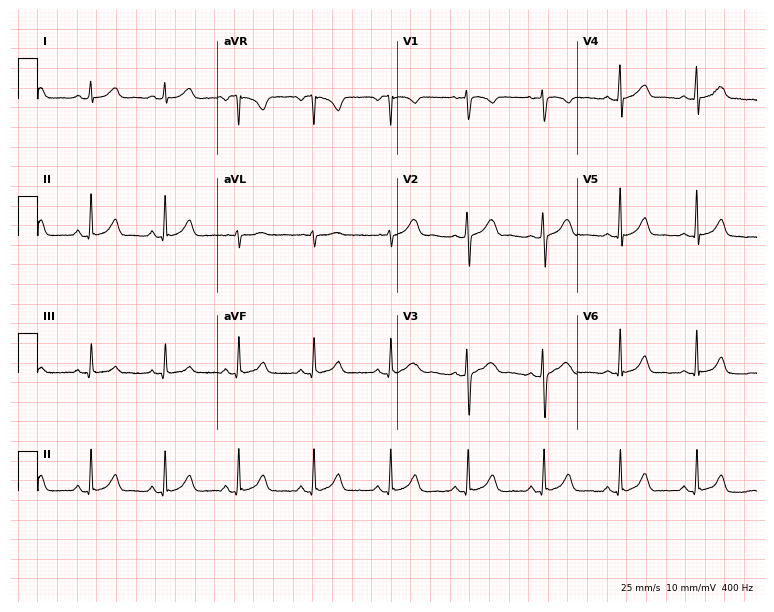
12-lead ECG from a 22-year-old woman. Recorded interpretation: within normal limits.